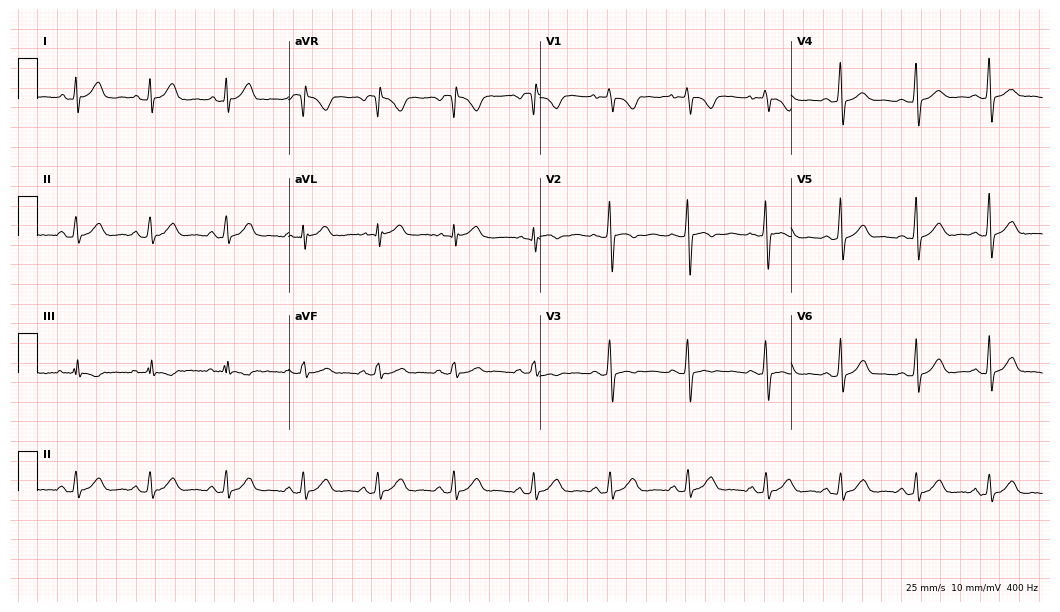
ECG — a woman, 29 years old. Labelled as a normal ECG.